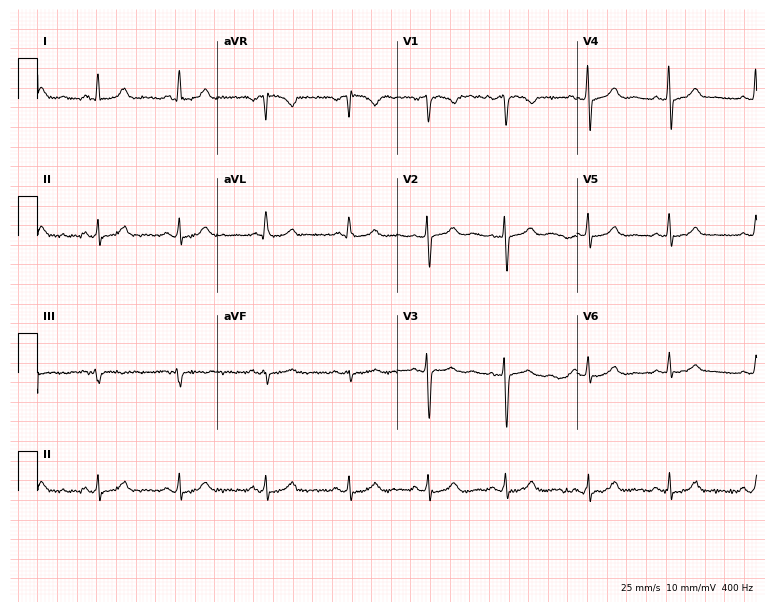
12-lead ECG from a 40-year-old female. Labelled as a normal ECG.